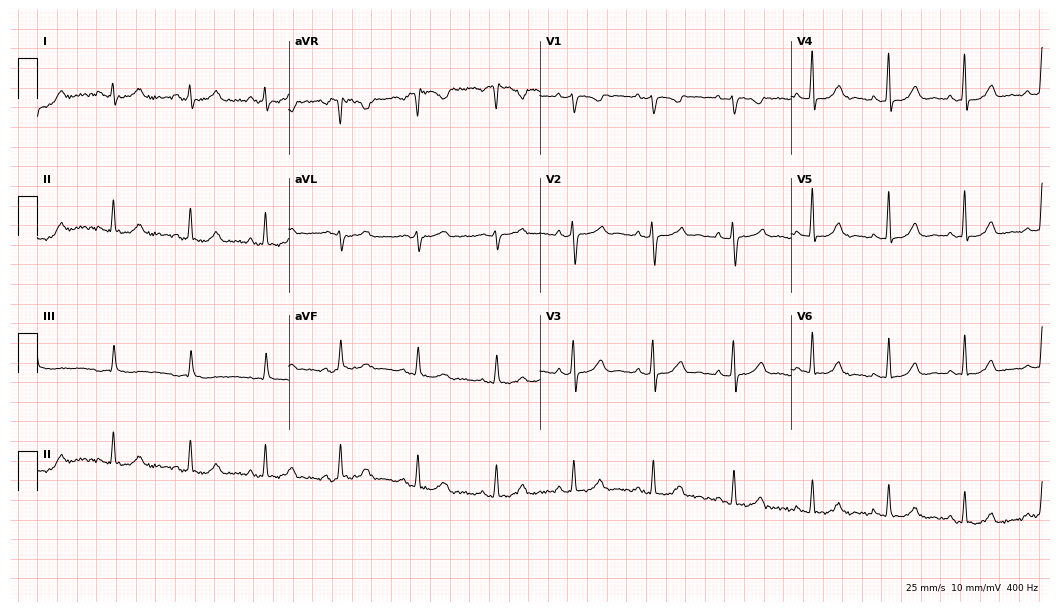
12-lead ECG from a 46-year-old female (10.2-second recording at 400 Hz). Recorded interpretation: within normal limits.